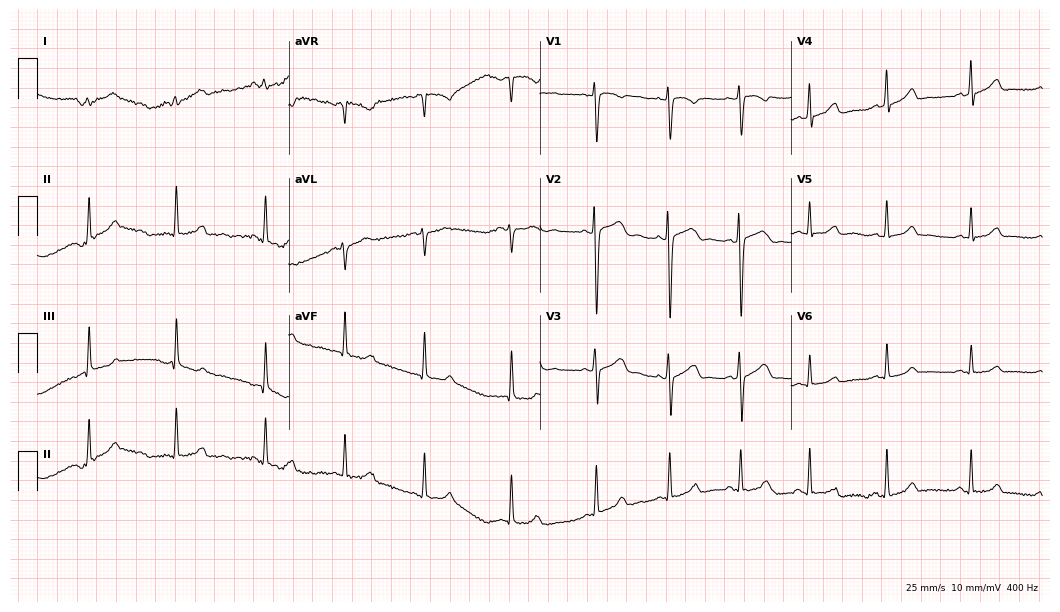
Resting 12-lead electrocardiogram (10.2-second recording at 400 Hz). Patient: a female, 18 years old. None of these six findings is recorded: first-degree AV block, right bundle branch block (RBBB), left bundle branch block (LBBB), sinus bradycardia, atrial fibrillation (AF), sinus tachycardia. Only these six findings were labelled.